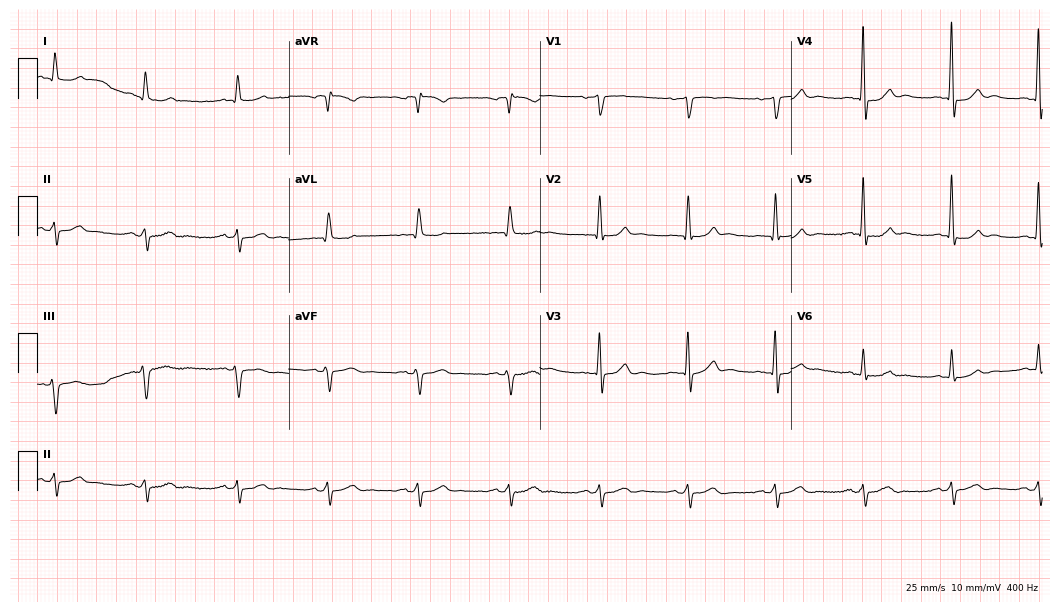
12-lead ECG from a 77-year-old male (10.2-second recording at 400 Hz). Recorded interpretation: within normal limits.